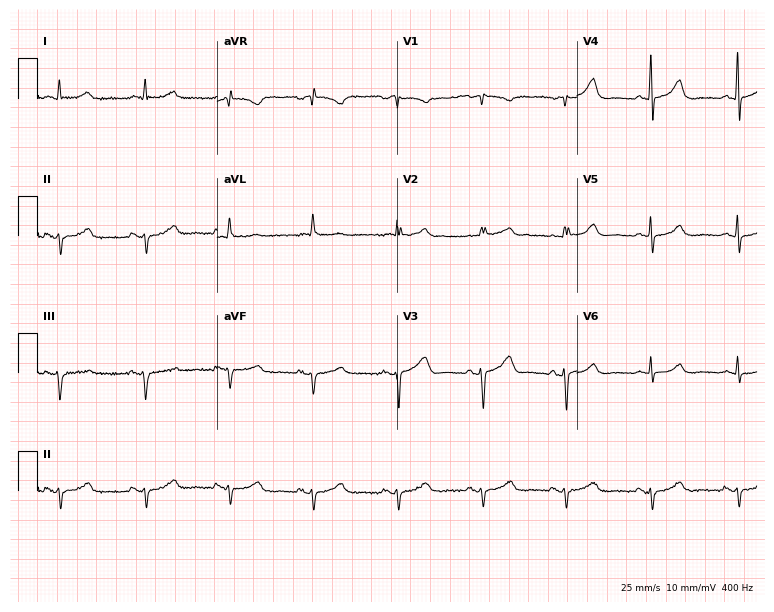
Resting 12-lead electrocardiogram. Patient: a 60-year-old female. None of these six findings is recorded: first-degree AV block, right bundle branch block, left bundle branch block, sinus bradycardia, atrial fibrillation, sinus tachycardia.